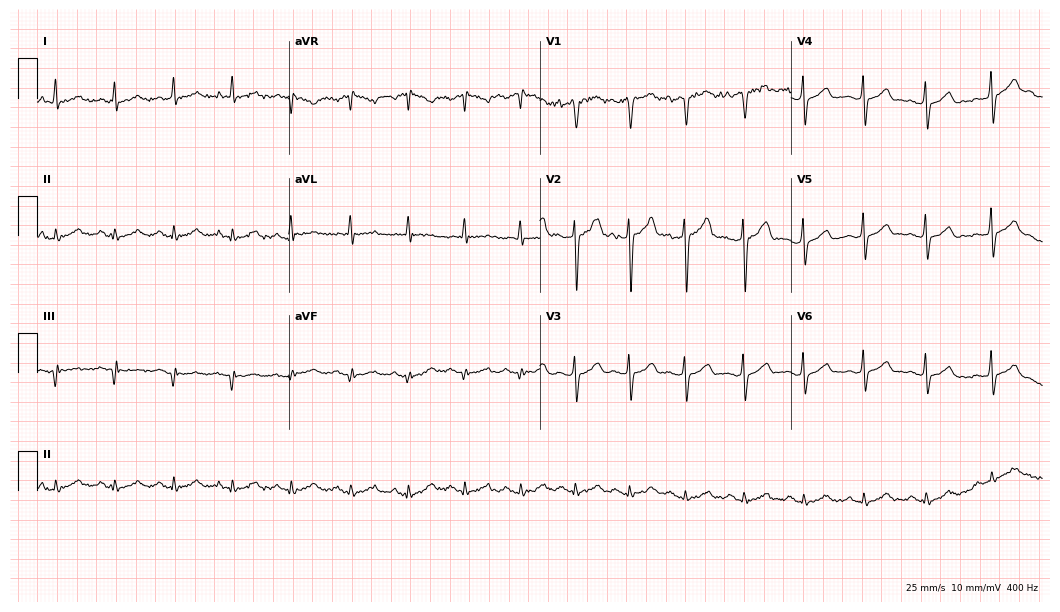
12-lead ECG from a male patient, 52 years old (10.2-second recording at 400 Hz). No first-degree AV block, right bundle branch block (RBBB), left bundle branch block (LBBB), sinus bradycardia, atrial fibrillation (AF) or sinus tachycardia recorded for this tracing. Other findings, if any, are not listed.